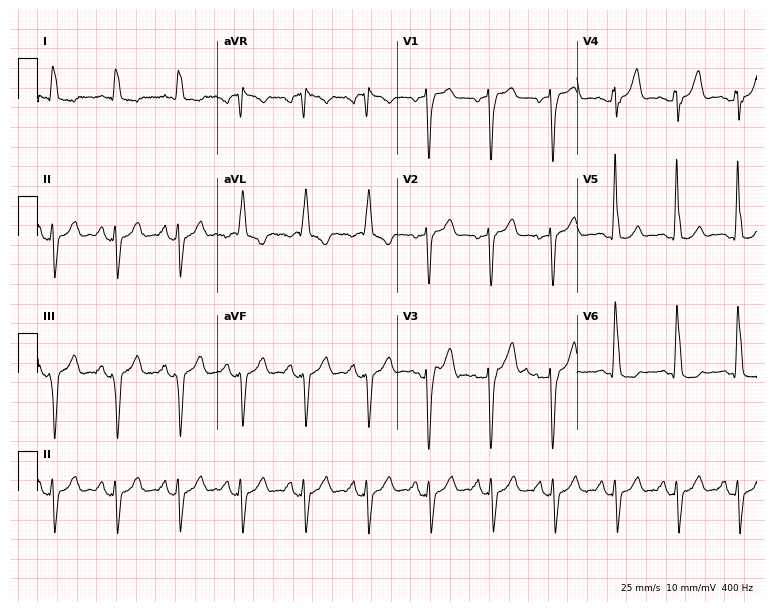
12-lead ECG from a man, 81 years old. No first-degree AV block, right bundle branch block, left bundle branch block, sinus bradycardia, atrial fibrillation or sinus tachycardia recorded for this tracing. Only these six findings were labelled.